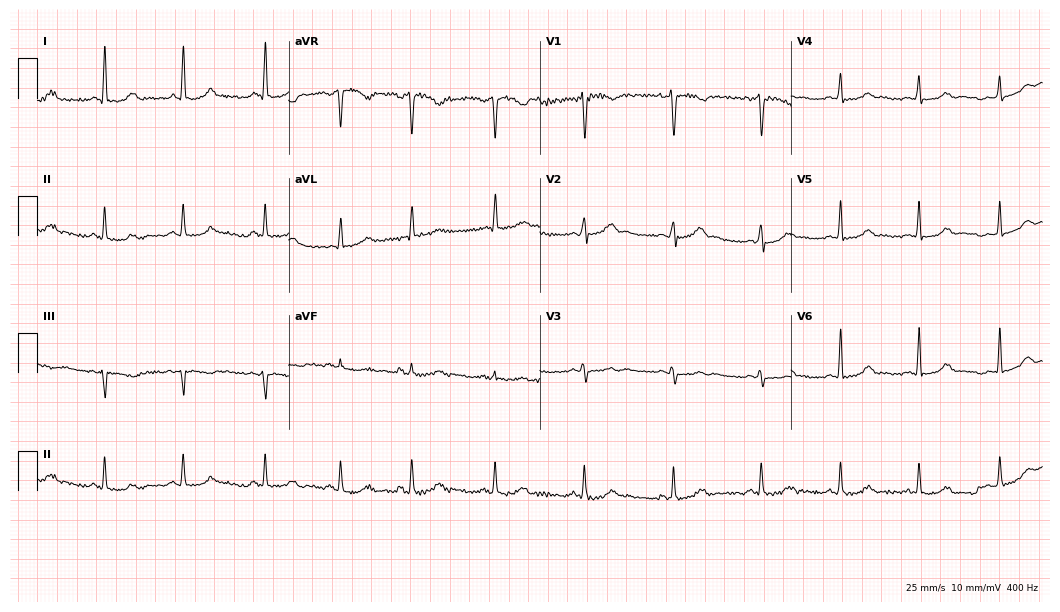
12-lead ECG from a 31-year-old female patient. Labelled as a normal ECG.